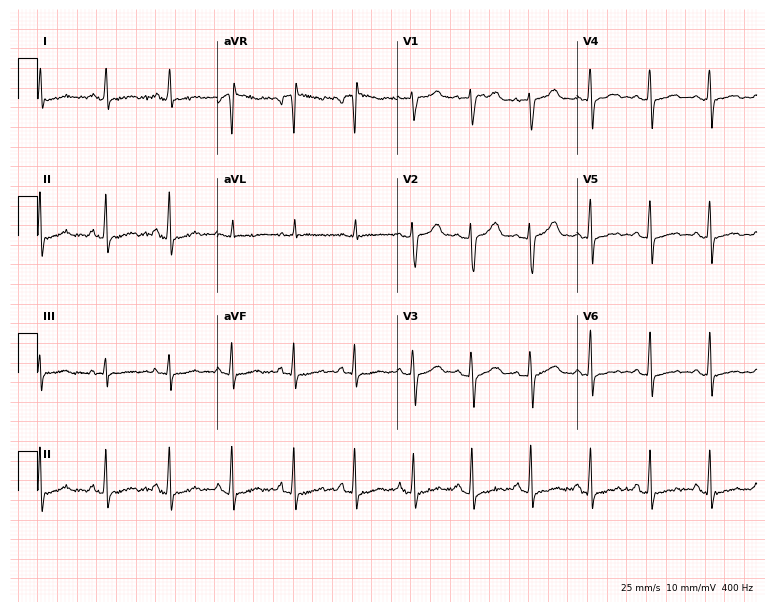
ECG (7.3-second recording at 400 Hz) — a female, 36 years old. Labelled as a normal ECG.